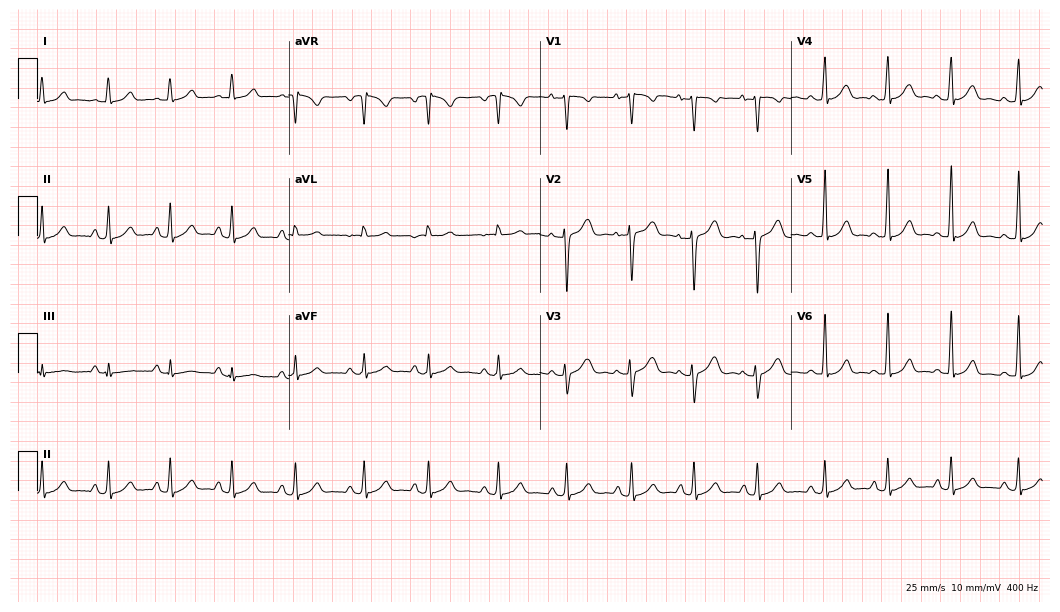
12-lead ECG from a woman, 18 years old. No first-degree AV block, right bundle branch block, left bundle branch block, sinus bradycardia, atrial fibrillation or sinus tachycardia recorded for this tracing. Only these six findings were labelled.